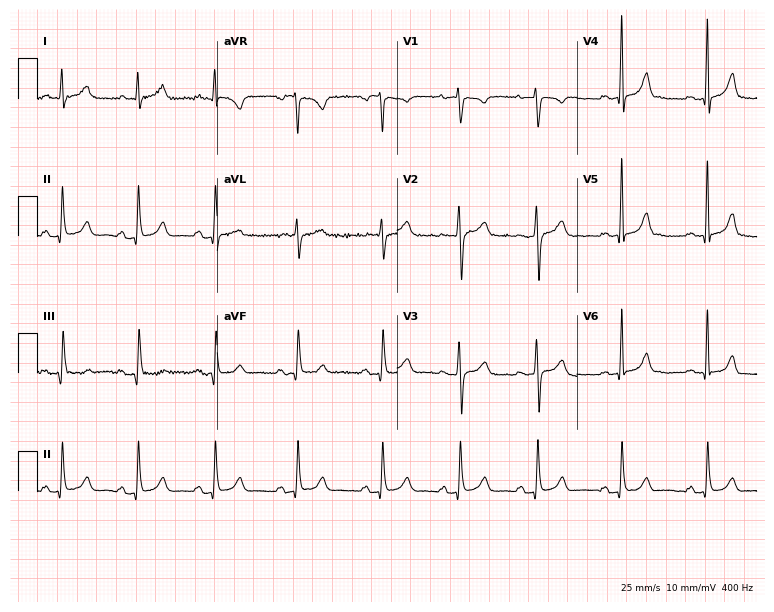
12-lead ECG (7.3-second recording at 400 Hz) from a 39-year-old female. Labelled as a normal ECG.